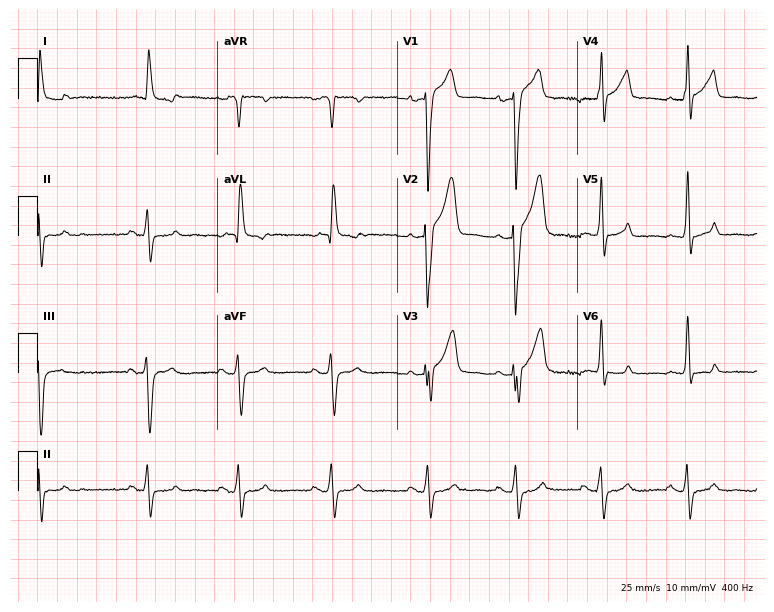
Standard 12-lead ECG recorded from a 73-year-old female patient (7.3-second recording at 400 Hz). None of these six findings is recorded: first-degree AV block, right bundle branch block, left bundle branch block, sinus bradycardia, atrial fibrillation, sinus tachycardia.